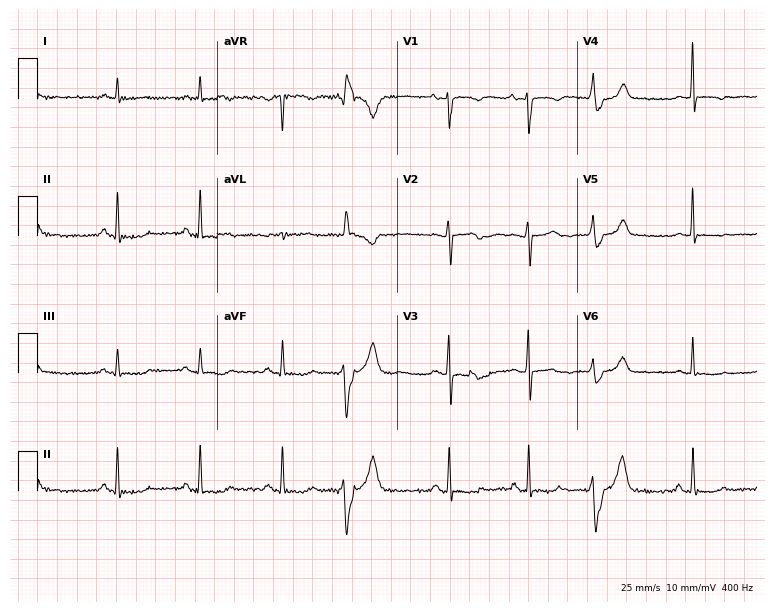
ECG — a female patient, 80 years old. Screened for six findings — first-degree AV block, right bundle branch block, left bundle branch block, sinus bradycardia, atrial fibrillation, sinus tachycardia — none is recorded.